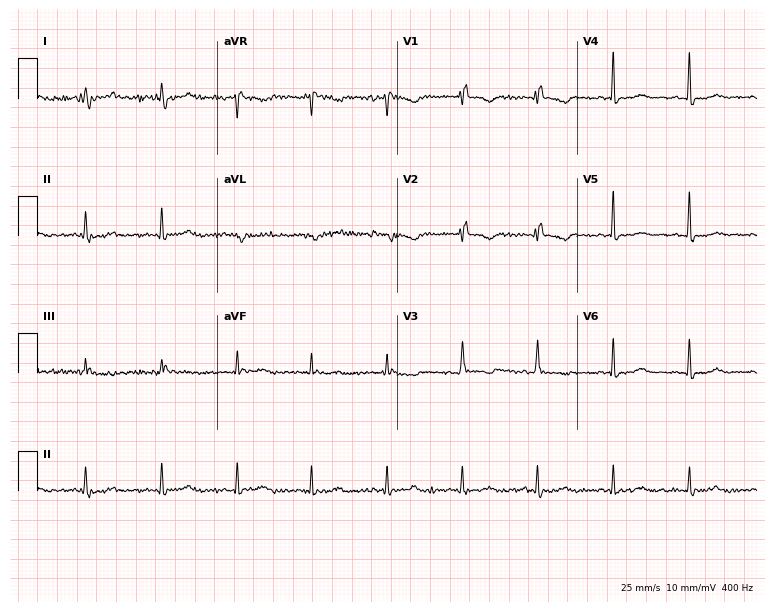
12-lead ECG from a female patient, 47 years old. No first-degree AV block, right bundle branch block, left bundle branch block, sinus bradycardia, atrial fibrillation or sinus tachycardia recorded for this tracing.